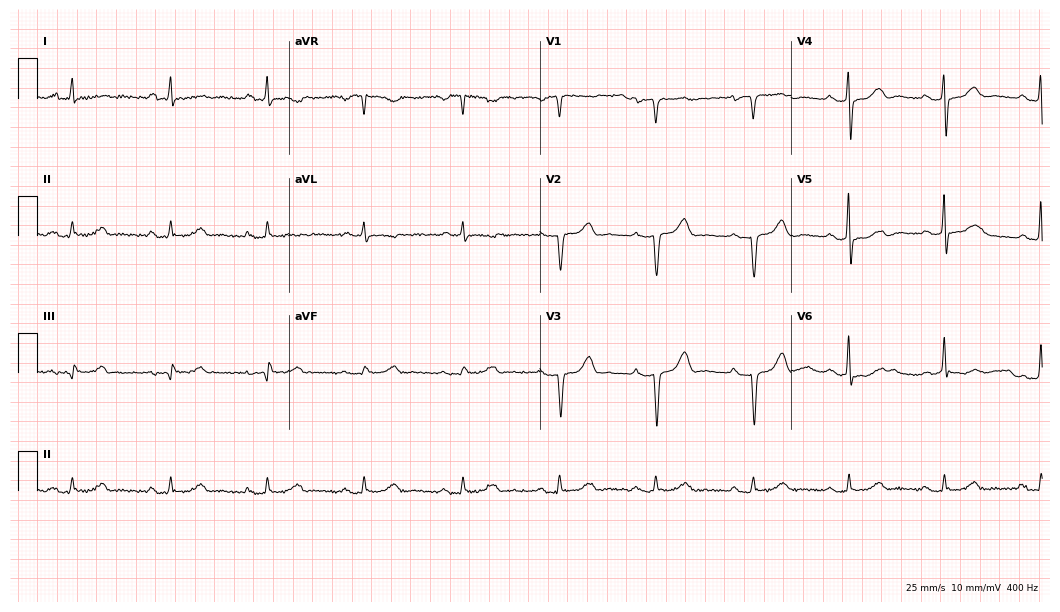
12-lead ECG (10.2-second recording at 400 Hz) from a female, 52 years old. Screened for six findings — first-degree AV block, right bundle branch block, left bundle branch block, sinus bradycardia, atrial fibrillation, sinus tachycardia — none is recorded. Other findings, if any, are not listed.